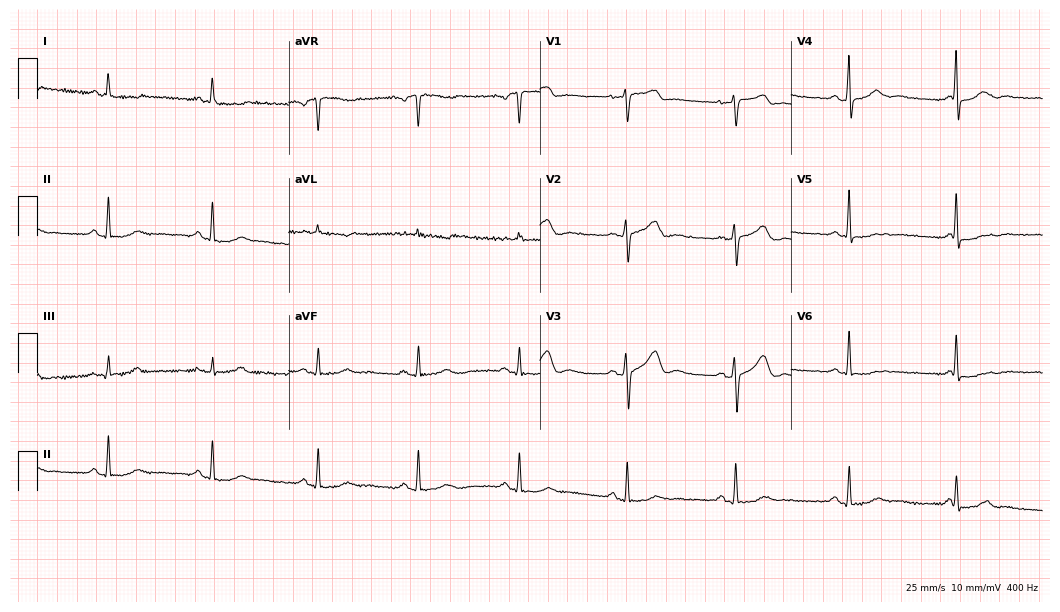
Standard 12-lead ECG recorded from a 52-year-old woman (10.2-second recording at 400 Hz). Read as a normal ECG.